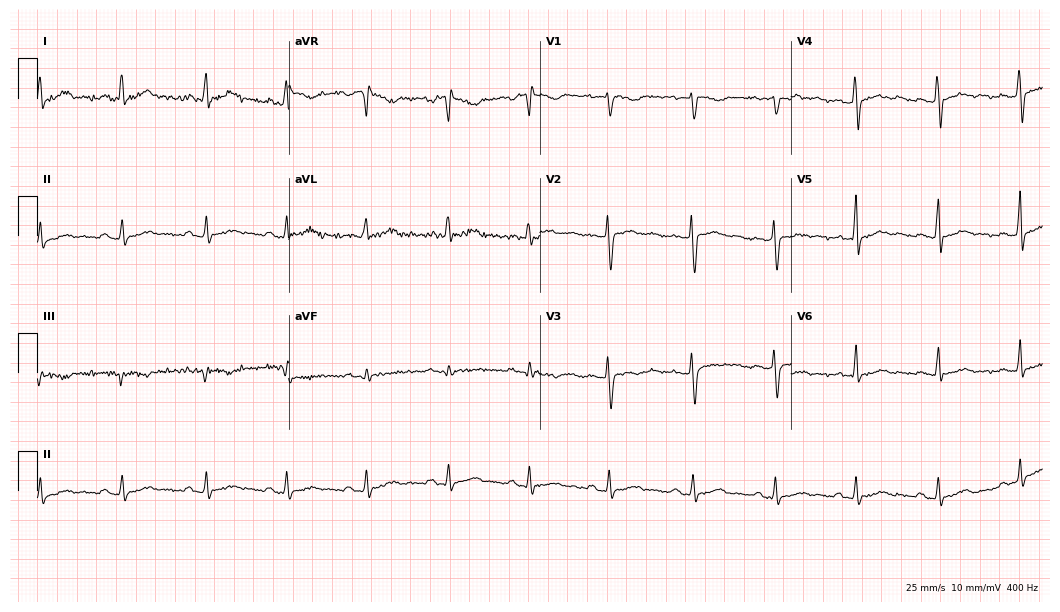
Standard 12-lead ECG recorded from a woman, 37 years old (10.2-second recording at 400 Hz). None of these six findings is recorded: first-degree AV block, right bundle branch block, left bundle branch block, sinus bradycardia, atrial fibrillation, sinus tachycardia. Findings outside these six are not listed.